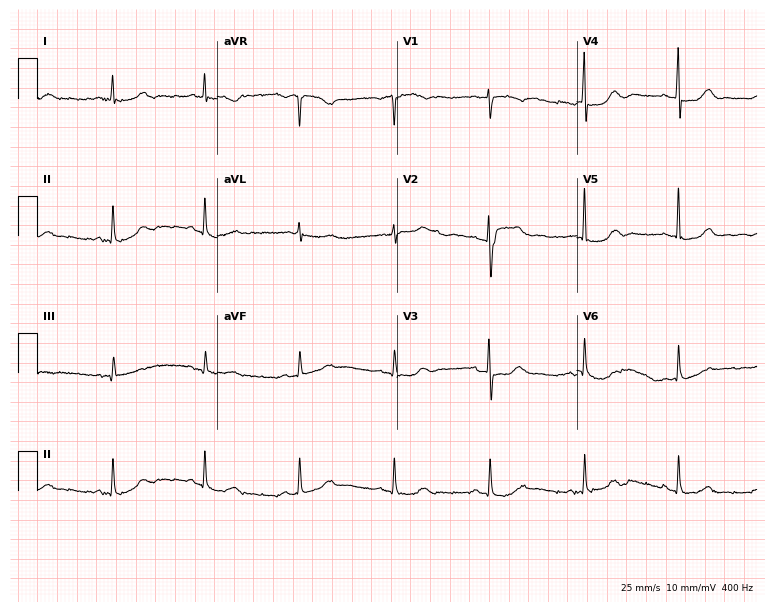
Resting 12-lead electrocardiogram. Patient: an 81-year-old woman. Read as a normal ECG.